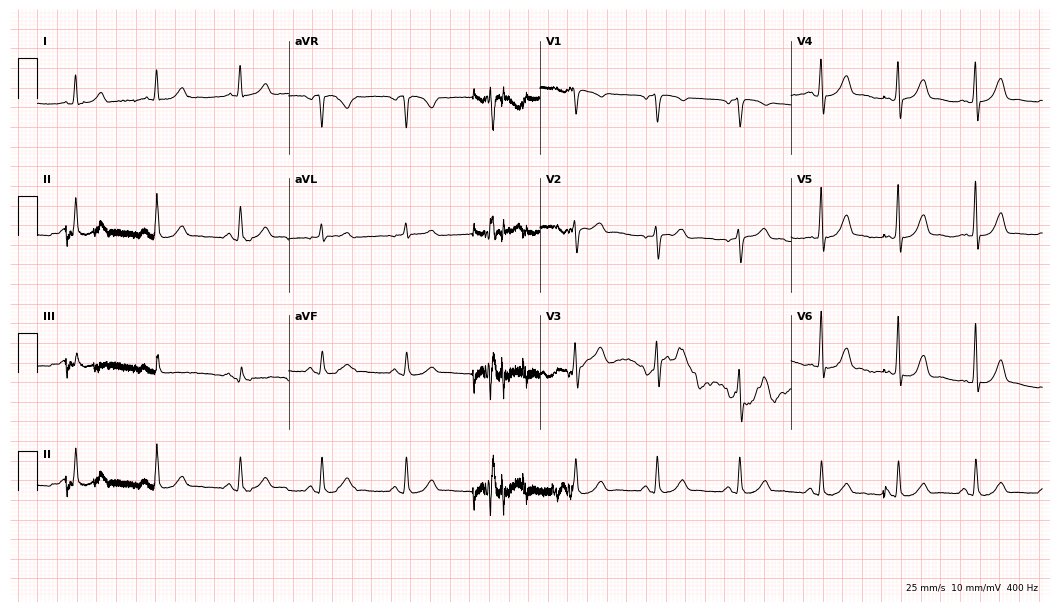
12-lead ECG from a male, 57 years old. No first-degree AV block, right bundle branch block (RBBB), left bundle branch block (LBBB), sinus bradycardia, atrial fibrillation (AF) or sinus tachycardia recorded for this tracing.